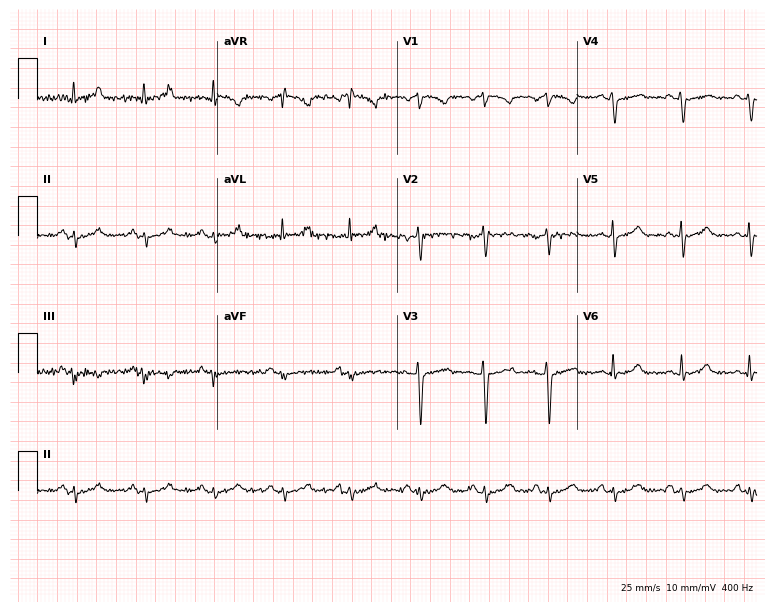
Electrocardiogram, a female, 29 years old. Of the six screened findings (first-degree AV block, right bundle branch block, left bundle branch block, sinus bradycardia, atrial fibrillation, sinus tachycardia), none is recorded. Only these six findings were labelled.